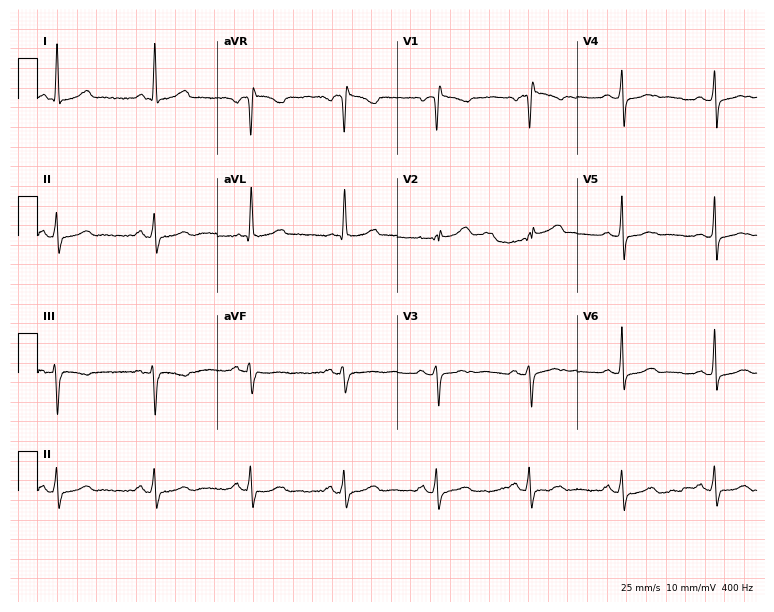
ECG — a 56-year-old female patient. Screened for six findings — first-degree AV block, right bundle branch block, left bundle branch block, sinus bradycardia, atrial fibrillation, sinus tachycardia — none is recorded.